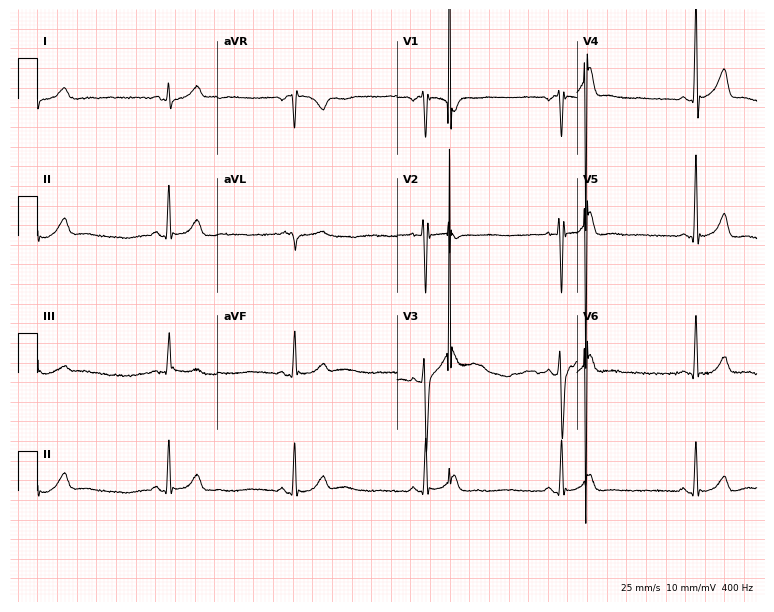
12-lead ECG from a man, 32 years old. Screened for six findings — first-degree AV block, right bundle branch block, left bundle branch block, sinus bradycardia, atrial fibrillation, sinus tachycardia — none is recorded.